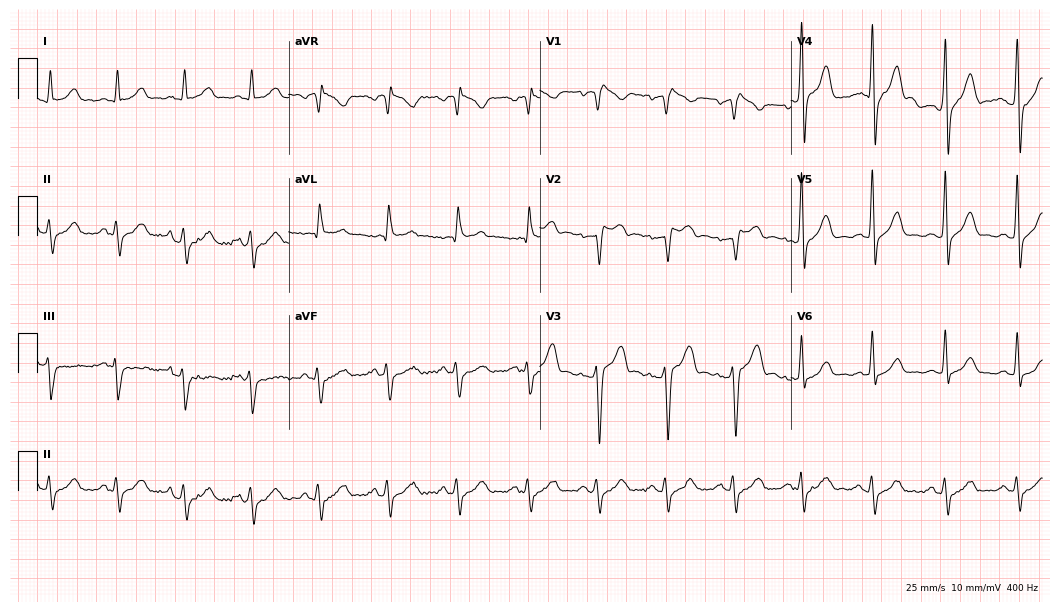
12-lead ECG (10.2-second recording at 400 Hz) from a male, 51 years old. Screened for six findings — first-degree AV block, right bundle branch block, left bundle branch block, sinus bradycardia, atrial fibrillation, sinus tachycardia — none is recorded.